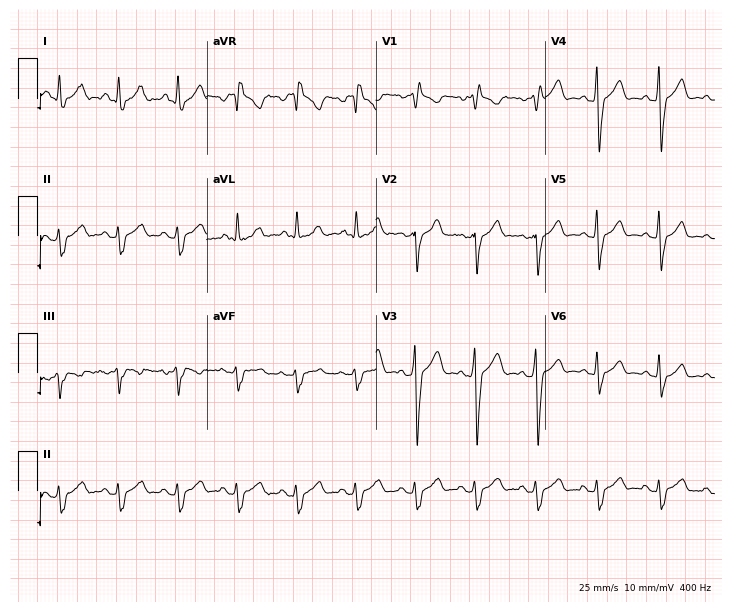
12-lead ECG from a 43-year-old male patient (6.9-second recording at 400 Hz). No first-degree AV block, right bundle branch block (RBBB), left bundle branch block (LBBB), sinus bradycardia, atrial fibrillation (AF) or sinus tachycardia recorded for this tracing. Other findings, if any, are not listed.